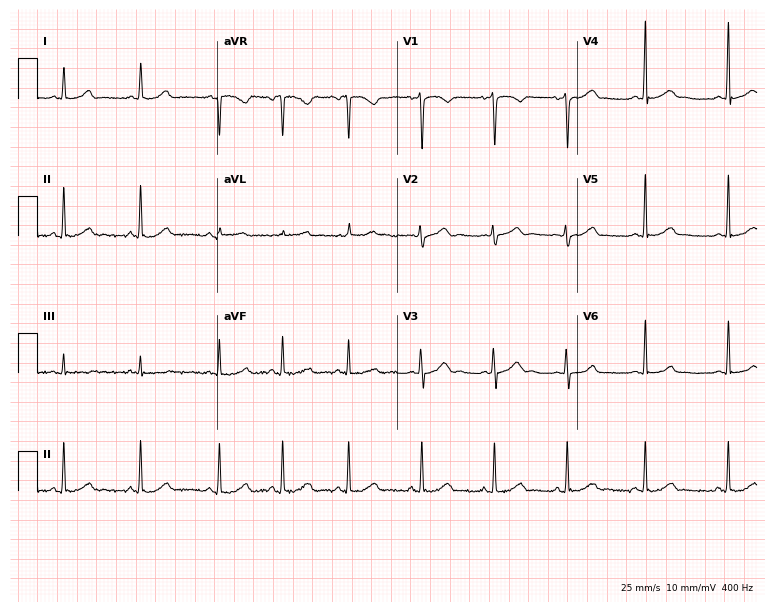
12-lead ECG from a female, 17 years old (7.3-second recording at 400 Hz). Recorded interpretation: within normal limits.